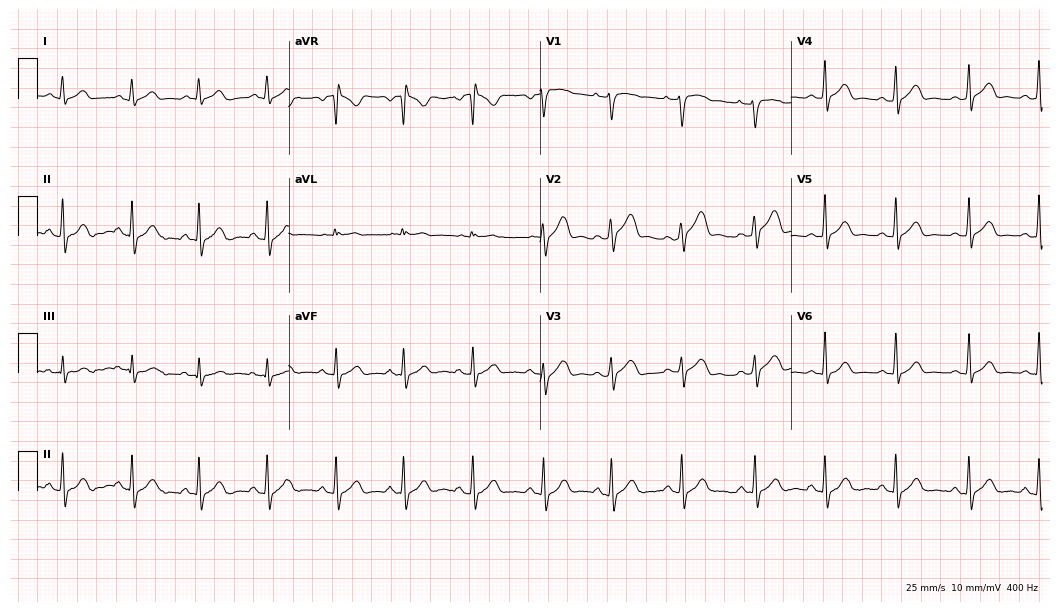
Electrocardiogram (10.2-second recording at 400 Hz), a man, 21 years old. Overall reading on record: normal ECG.